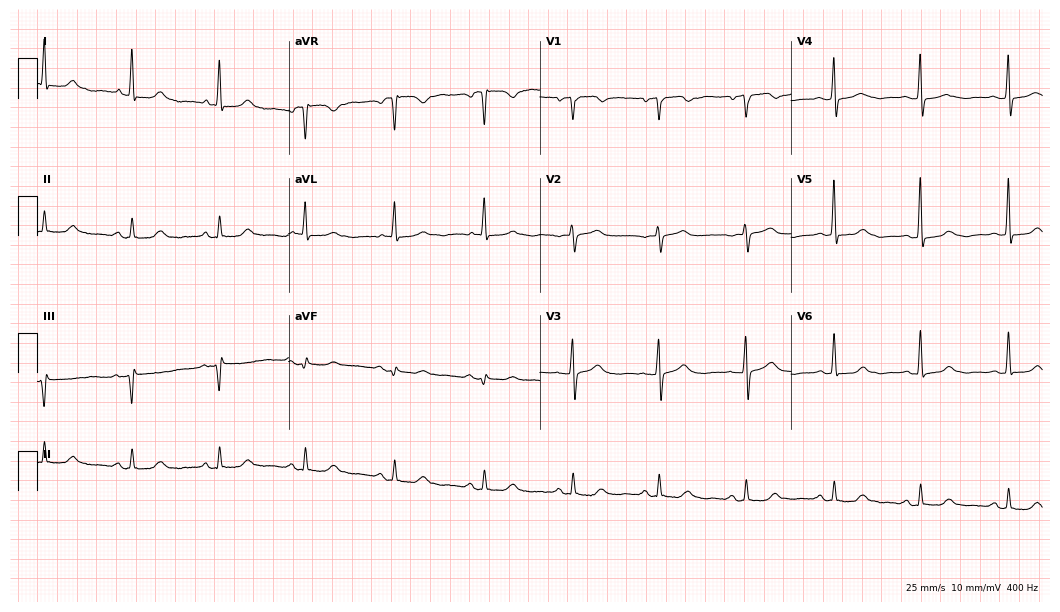
Standard 12-lead ECG recorded from a 72-year-old female (10.2-second recording at 400 Hz). Read as a normal ECG.